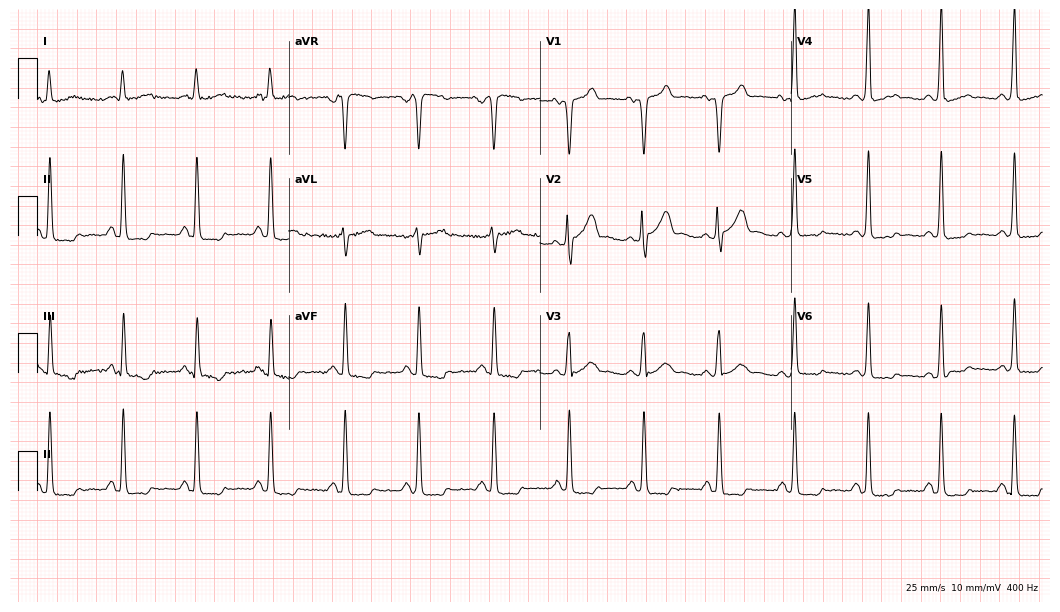
ECG — a 60-year-old man. Screened for six findings — first-degree AV block, right bundle branch block, left bundle branch block, sinus bradycardia, atrial fibrillation, sinus tachycardia — none is recorded.